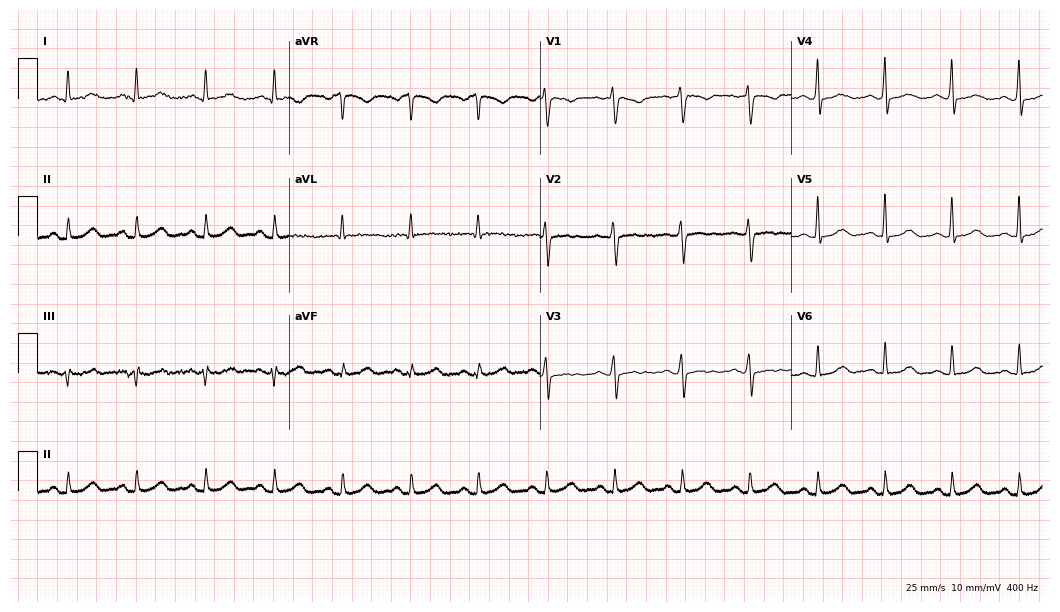
ECG (10.2-second recording at 400 Hz) — a female patient, 49 years old. Screened for six findings — first-degree AV block, right bundle branch block, left bundle branch block, sinus bradycardia, atrial fibrillation, sinus tachycardia — none is recorded. Only these six findings were labelled.